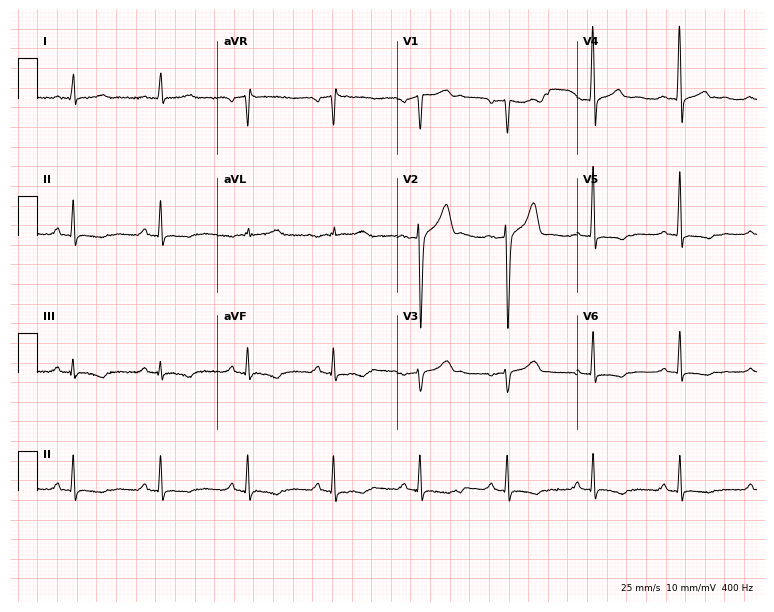
12-lead ECG from a male patient, 65 years old. No first-degree AV block, right bundle branch block, left bundle branch block, sinus bradycardia, atrial fibrillation or sinus tachycardia recorded for this tracing. Only these six findings were labelled.